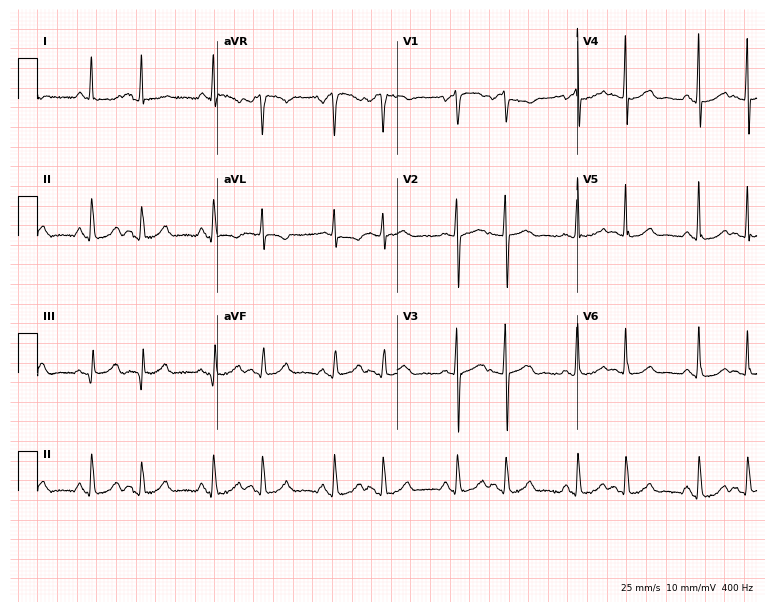
Resting 12-lead electrocardiogram. Patient: a female, 70 years old. None of these six findings is recorded: first-degree AV block, right bundle branch block (RBBB), left bundle branch block (LBBB), sinus bradycardia, atrial fibrillation (AF), sinus tachycardia. Other findings, if any, are not listed.